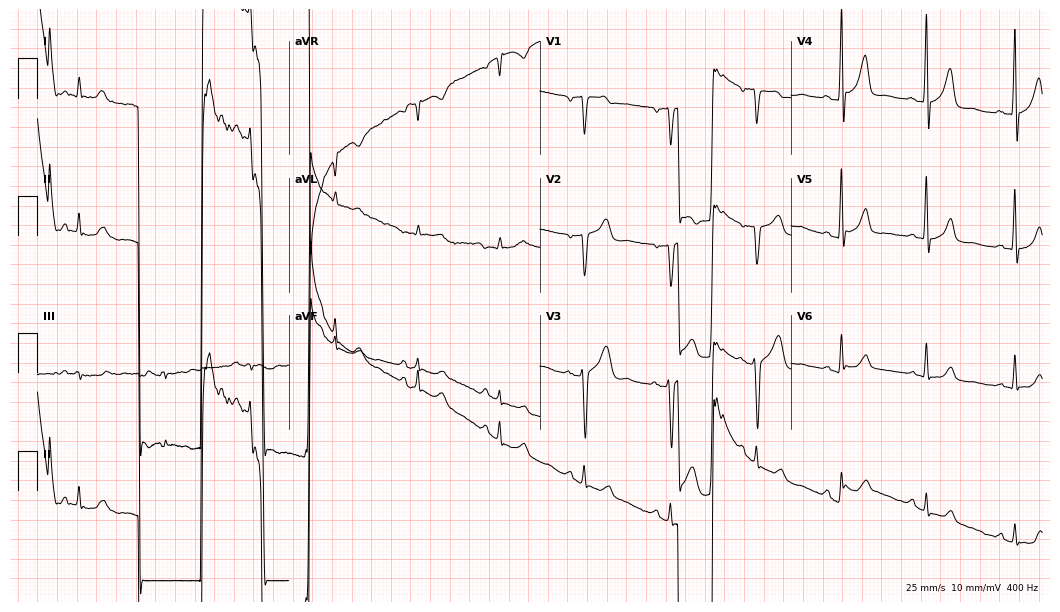
12-lead ECG from a 70-year-old man (10.2-second recording at 400 Hz). No first-degree AV block, right bundle branch block, left bundle branch block, sinus bradycardia, atrial fibrillation or sinus tachycardia recorded for this tracing.